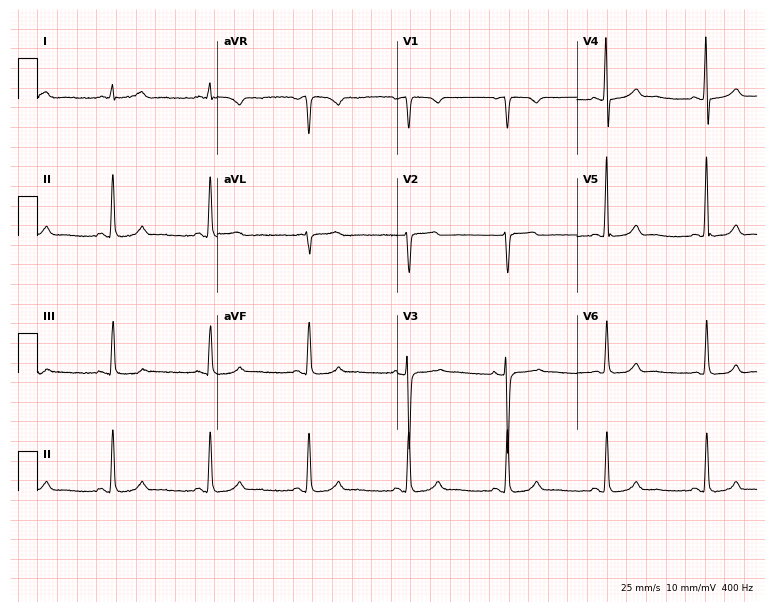
12-lead ECG from a female, 51 years old (7.3-second recording at 400 Hz). No first-degree AV block, right bundle branch block, left bundle branch block, sinus bradycardia, atrial fibrillation or sinus tachycardia recorded for this tracing. Only these six findings were labelled.